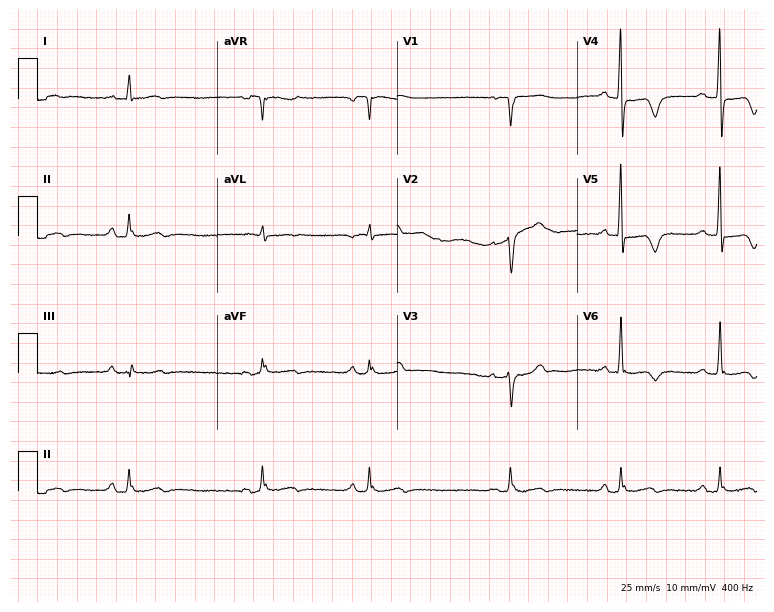
Standard 12-lead ECG recorded from a man, 74 years old. None of these six findings is recorded: first-degree AV block, right bundle branch block (RBBB), left bundle branch block (LBBB), sinus bradycardia, atrial fibrillation (AF), sinus tachycardia.